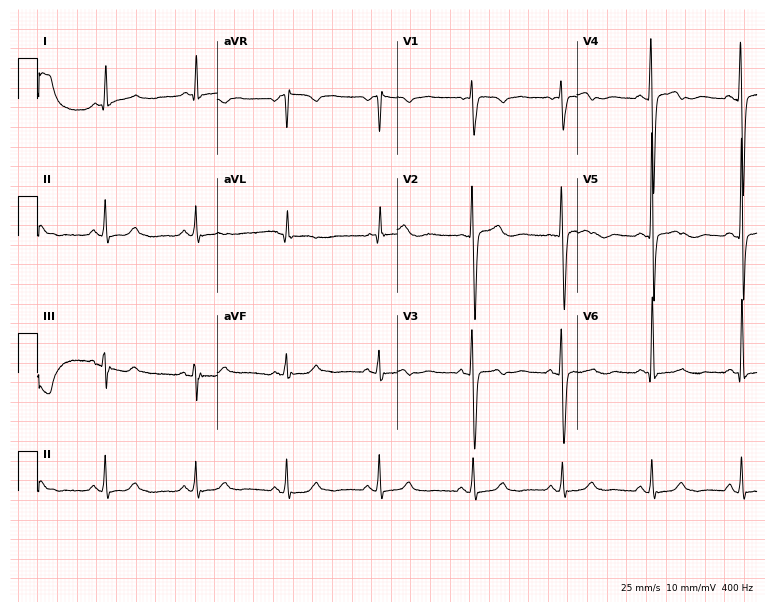
Resting 12-lead electrocardiogram. Patient: a 53-year-old female. None of these six findings is recorded: first-degree AV block, right bundle branch block, left bundle branch block, sinus bradycardia, atrial fibrillation, sinus tachycardia.